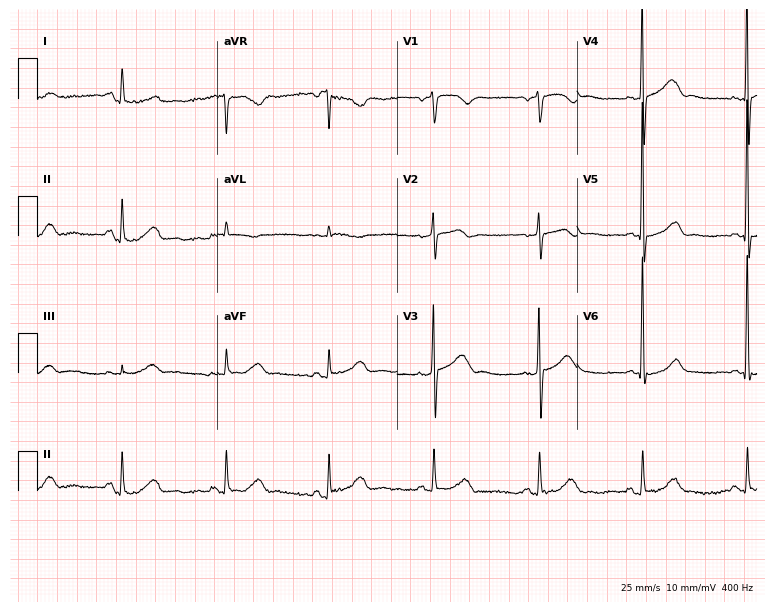
ECG — a male, 80 years old. Screened for six findings — first-degree AV block, right bundle branch block (RBBB), left bundle branch block (LBBB), sinus bradycardia, atrial fibrillation (AF), sinus tachycardia — none is recorded. Other findings, if any, are not listed.